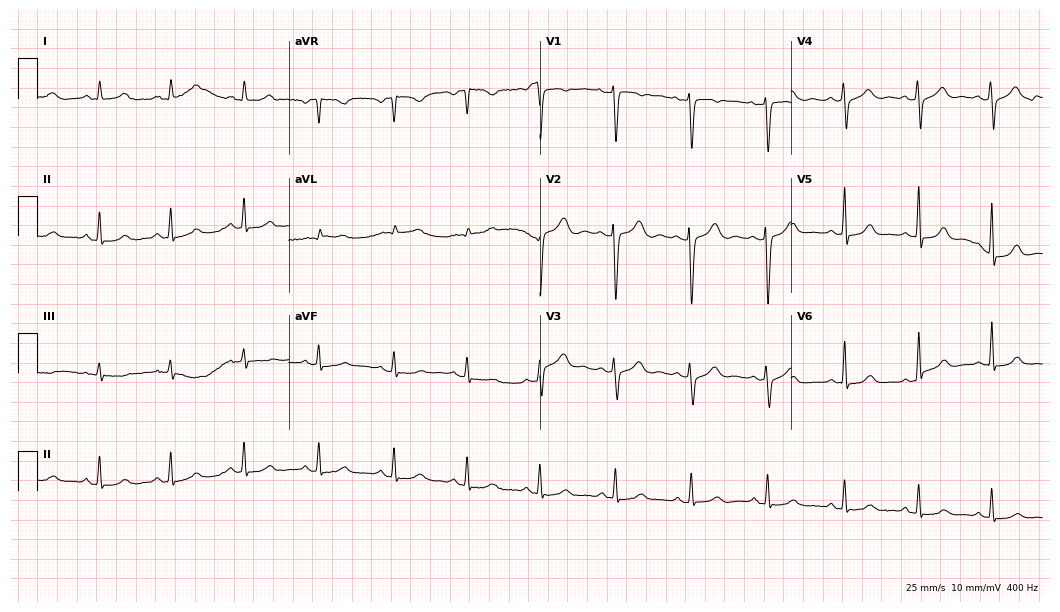
12-lead ECG from a 36-year-old female patient. Labelled as a normal ECG.